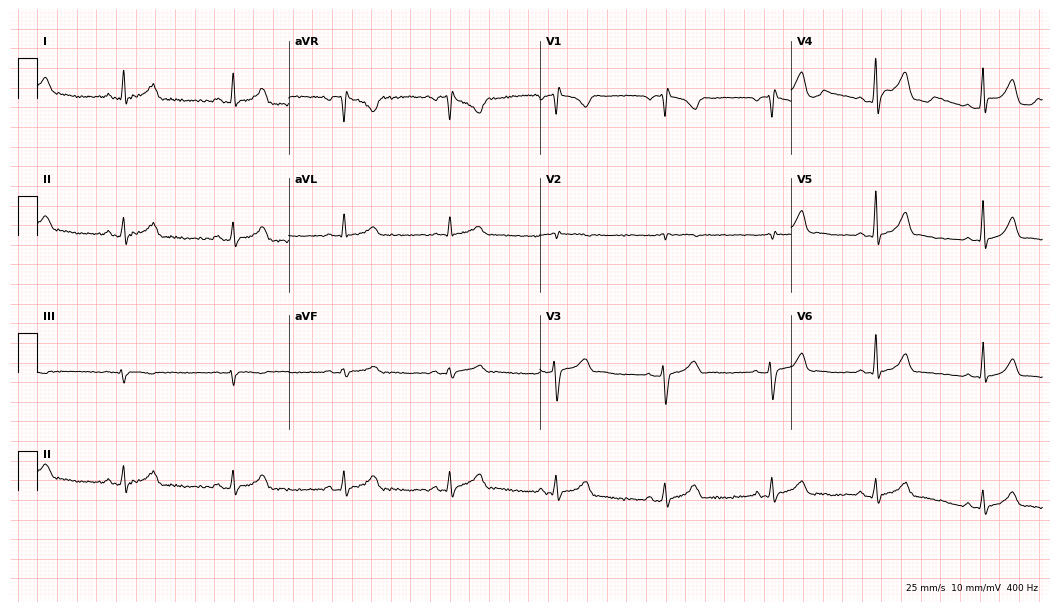
ECG — a 37-year-old man. Labelled as a normal ECG.